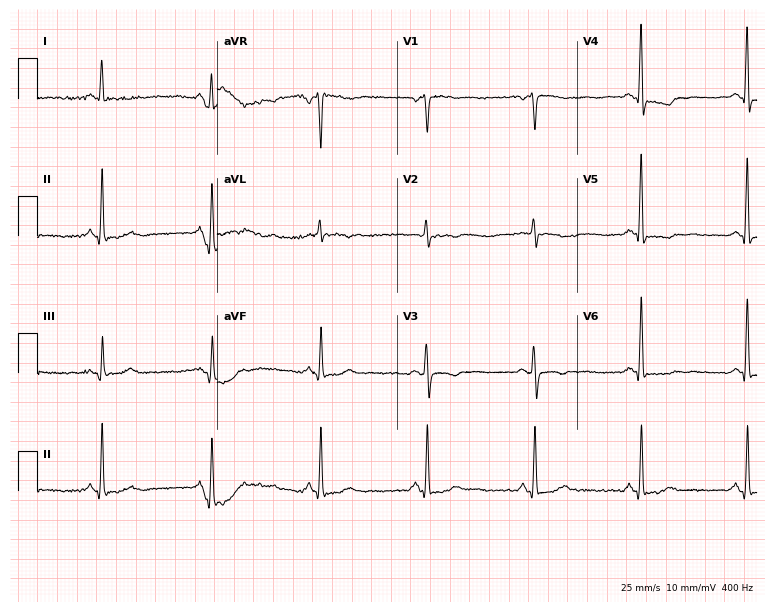
12-lead ECG from a woman, 56 years old (7.3-second recording at 400 Hz). No first-degree AV block, right bundle branch block, left bundle branch block, sinus bradycardia, atrial fibrillation or sinus tachycardia recorded for this tracing. Only these six findings were labelled.